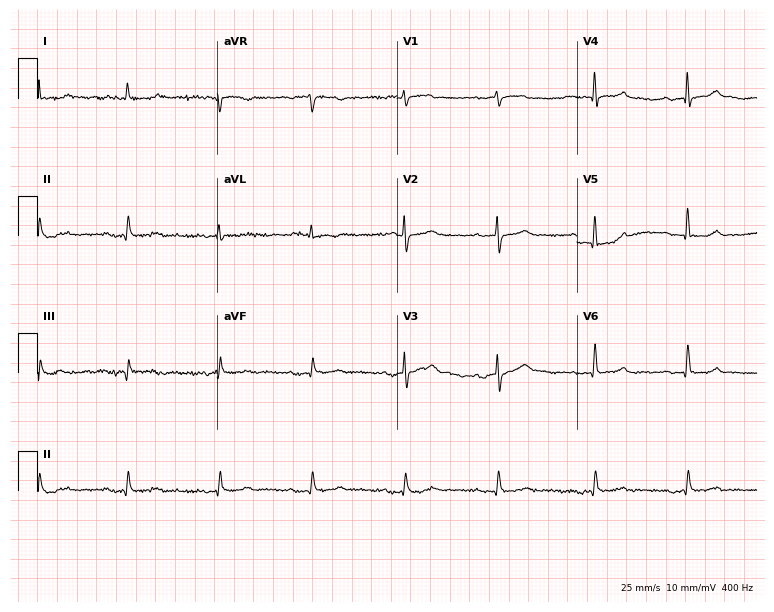
12-lead ECG from a male patient, 70 years old. Screened for six findings — first-degree AV block, right bundle branch block, left bundle branch block, sinus bradycardia, atrial fibrillation, sinus tachycardia — none is recorded.